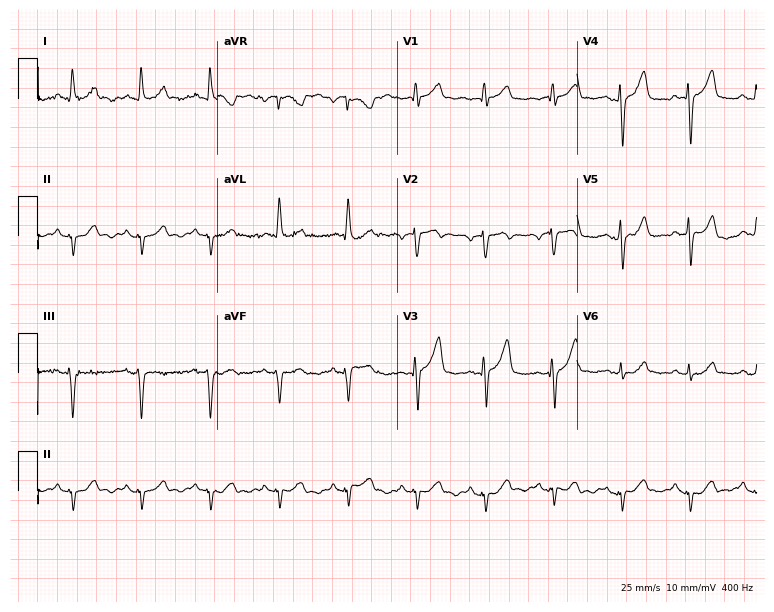
12-lead ECG from a 72-year-old male patient. No first-degree AV block, right bundle branch block, left bundle branch block, sinus bradycardia, atrial fibrillation or sinus tachycardia recorded for this tracing. Findings outside these six are not listed.